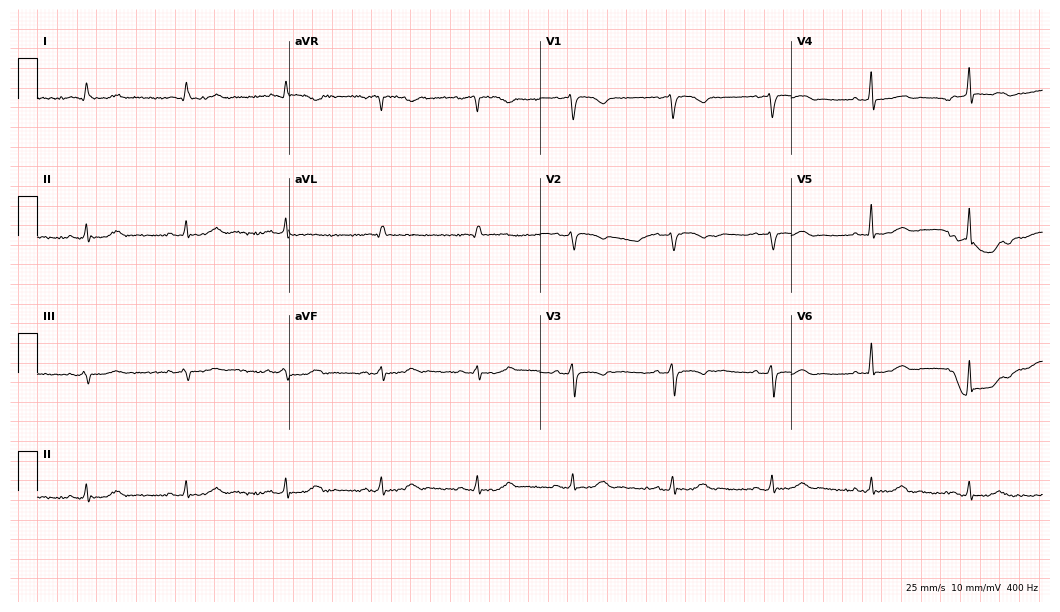
12-lead ECG from a woman, 71 years old. No first-degree AV block, right bundle branch block (RBBB), left bundle branch block (LBBB), sinus bradycardia, atrial fibrillation (AF) or sinus tachycardia recorded for this tracing.